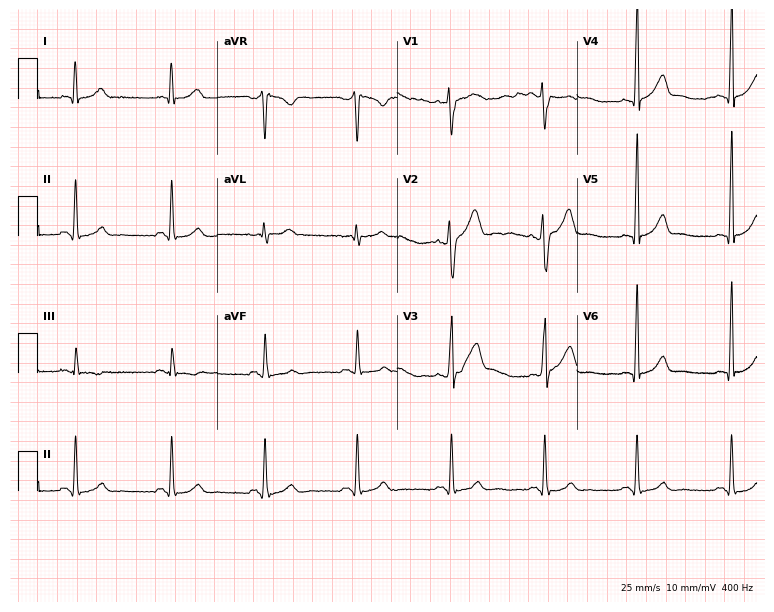
Resting 12-lead electrocardiogram (7.3-second recording at 400 Hz). Patient: a 40-year-old man. Read as a normal ECG.